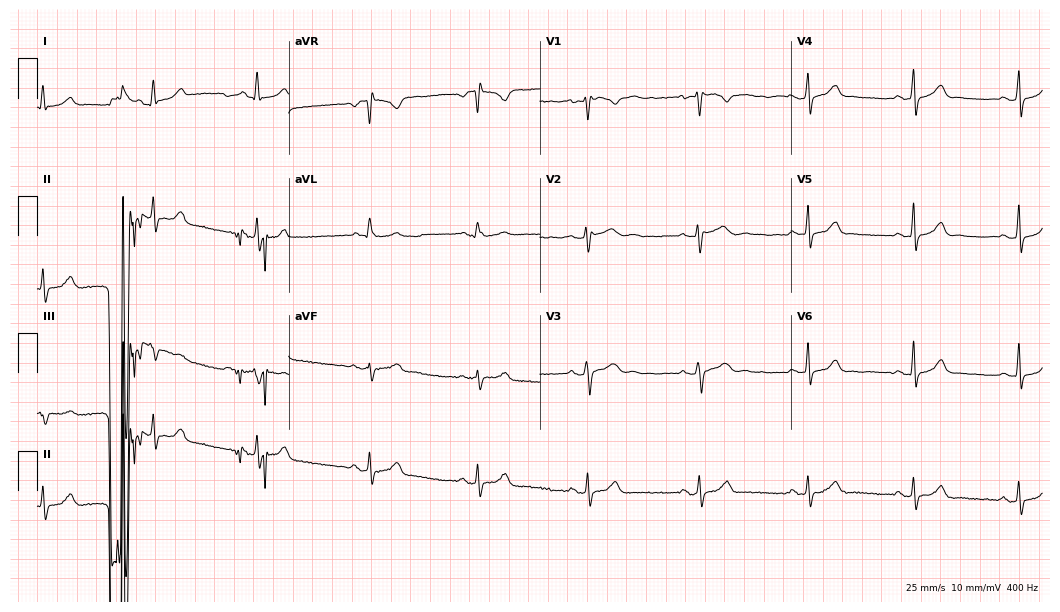
12-lead ECG from a female, 21 years old (10.2-second recording at 400 Hz). No first-degree AV block, right bundle branch block, left bundle branch block, sinus bradycardia, atrial fibrillation or sinus tachycardia recorded for this tracing. Other findings, if any, are not listed.